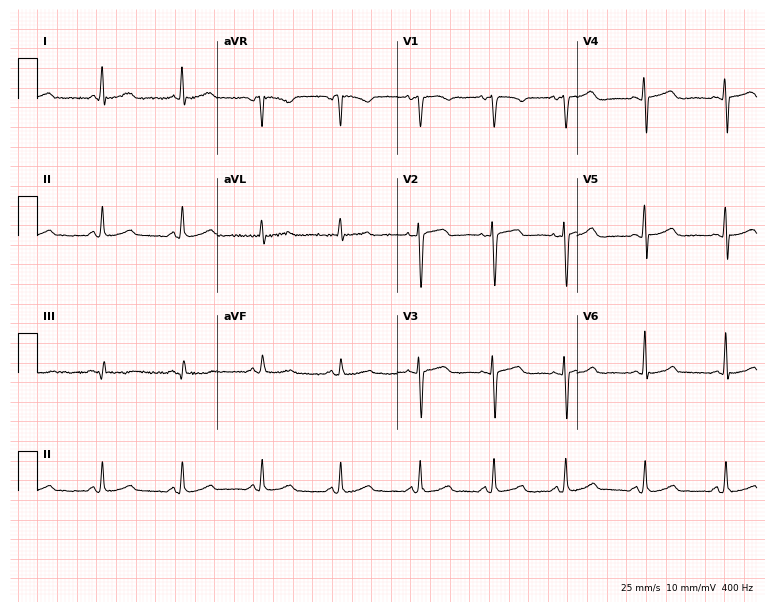
Standard 12-lead ECG recorded from a 52-year-old female patient (7.3-second recording at 400 Hz). Read as a normal ECG.